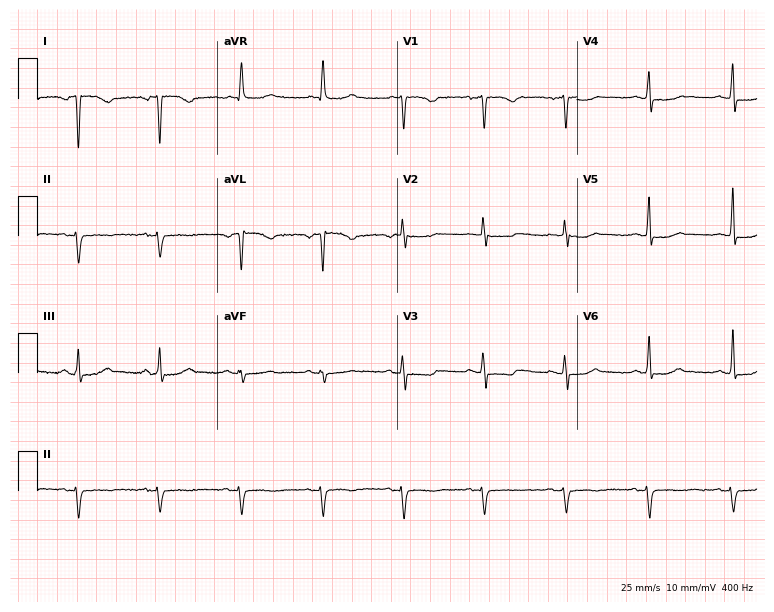
Standard 12-lead ECG recorded from a 66-year-old woman. None of these six findings is recorded: first-degree AV block, right bundle branch block, left bundle branch block, sinus bradycardia, atrial fibrillation, sinus tachycardia. Only these six findings were labelled.